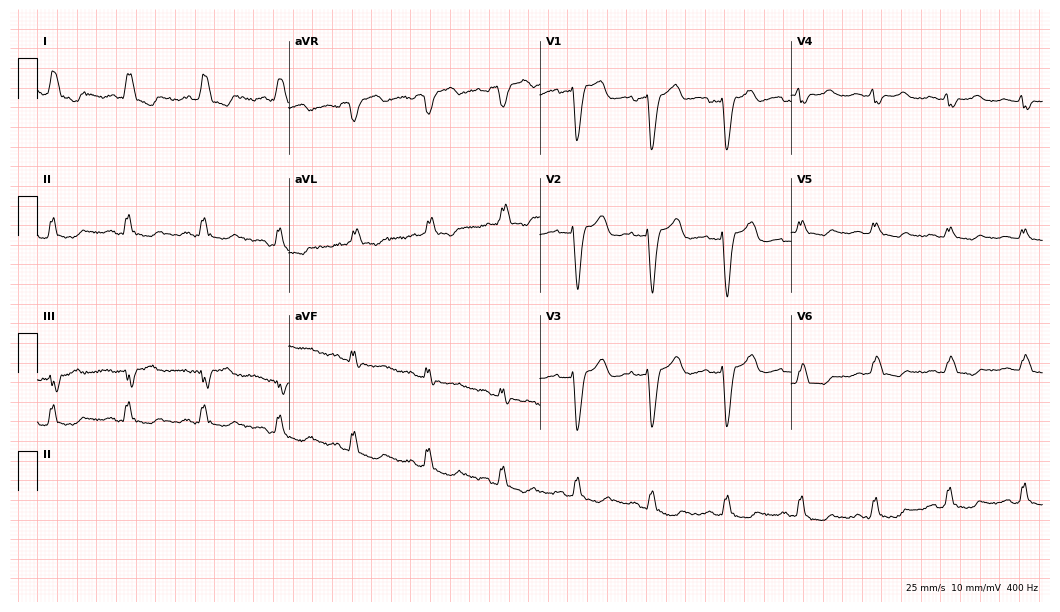
Electrocardiogram, a female patient, 74 years old. Interpretation includes left bundle branch block.